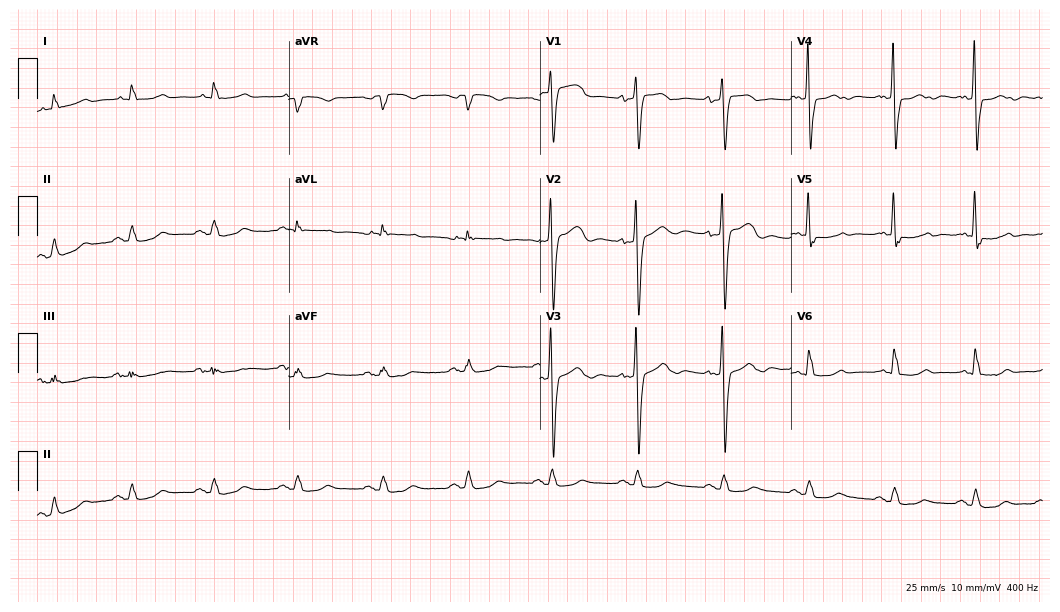
ECG (10.2-second recording at 400 Hz) — a female patient, 64 years old. Screened for six findings — first-degree AV block, right bundle branch block (RBBB), left bundle branch block (LBBB), sinus bradycardia, atrial fibrillation (AF), sinus tachycardia — none is recorded. Only these six findings were labelled.